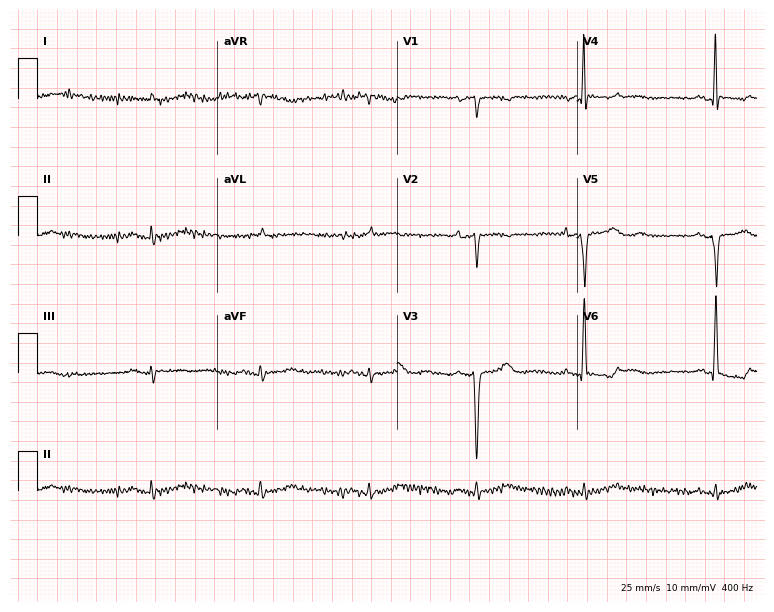
12-lead ECG (7.3-second recording at 400 Hz) from an 84-year-old female. Screened for six findings — first-degree AV block, right bundle branch block, left bundle branch block, sinus bradycardia, atrial fibrillation, sinus tachycardia — none is recorded.